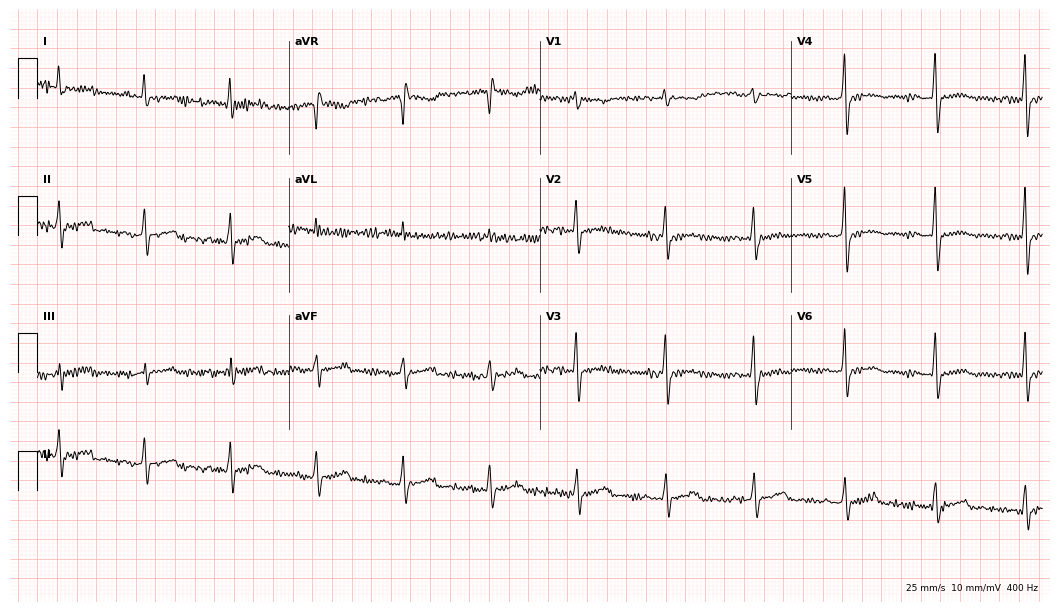
12-lead ECG from a woman, 59 years old (10.2-second recording at 400 Hz). No first-degree AV block, right bundle branch block, left bundle branch block, sinus bradycardia, atrial fibrillation or sinus tachycardia recorded for this tracing.